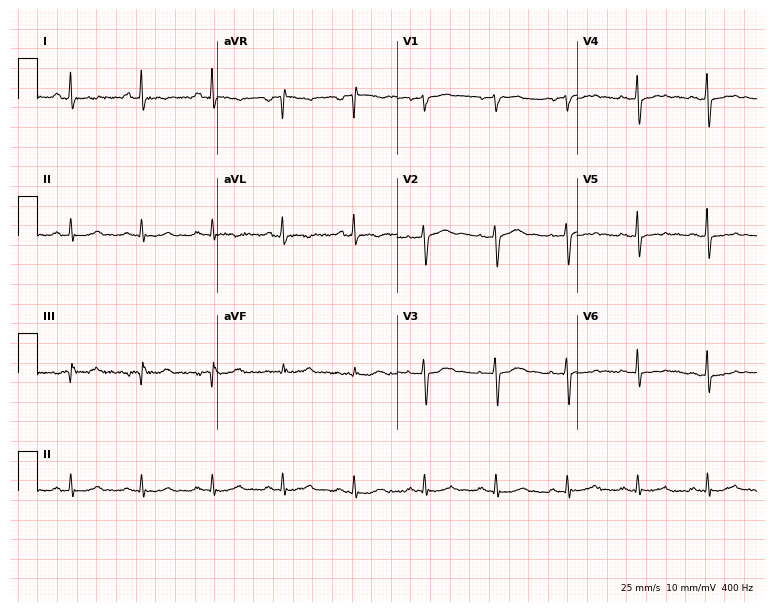
ECG — a 47-year-old woman. Screened for six findings — first-degree AV block, right bundle branch block, left bundle branch block, sinus bradycardia, atrial fibrillation, sinus tachycardia — none is recorded. Other findings, if any, are not listed.